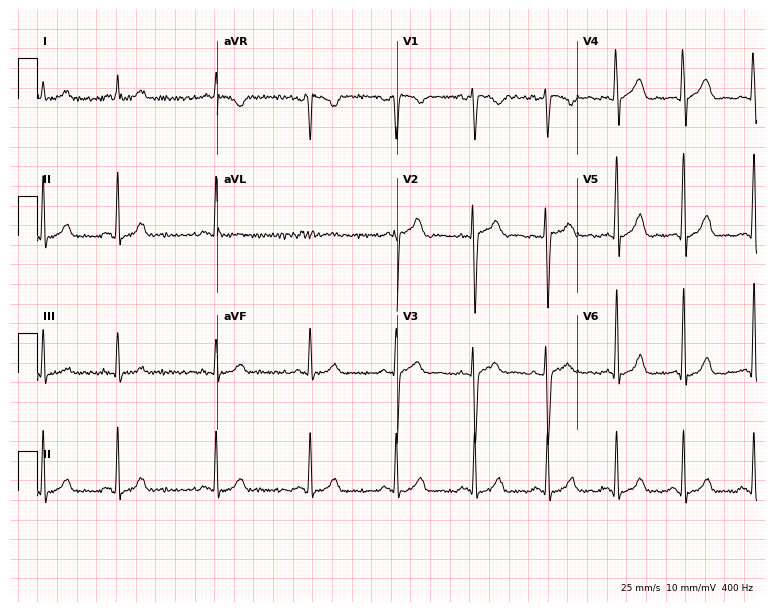
Electrocardiogram, a 24-year-old male patient. Overall reading on record: normal ECG.